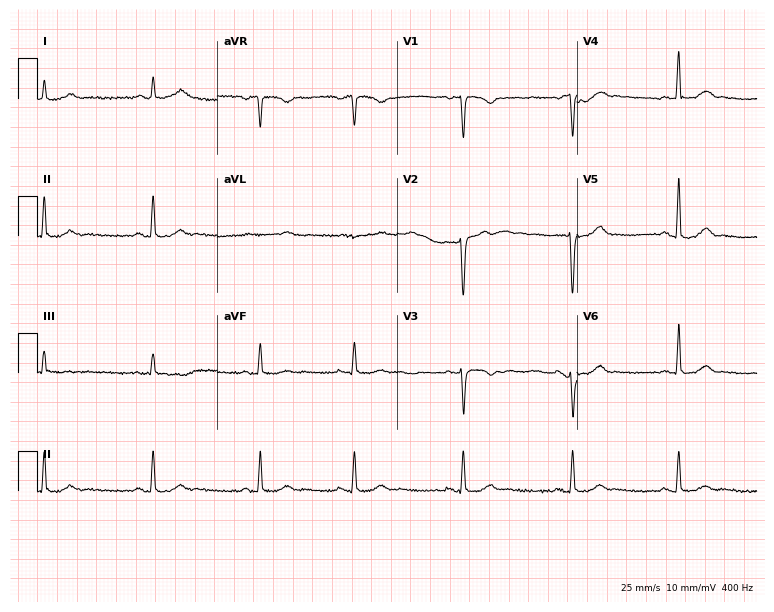
ECG — a female patient, 27 years old. Screened for six findings — first-degree AV block, right bundle branch block (RBBB), left bundle branch block (LBBB), sinus bradycardia, atrial fibrillation (AF), sinus tachycardia — none is recorded. Other findings, if any, are not listed.